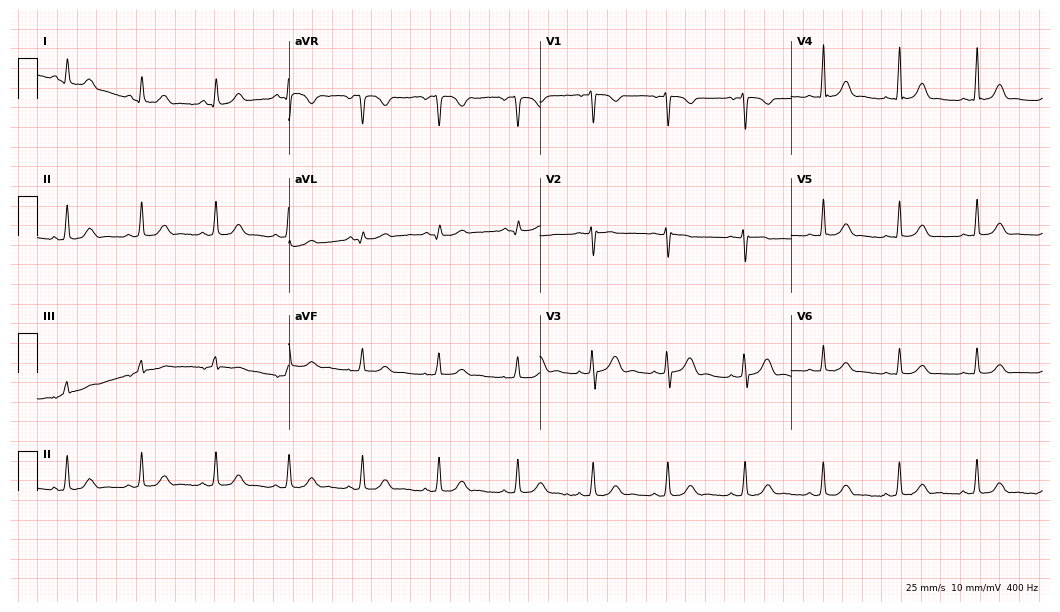
12-lead ECG (10.2-second recording at 400 Hz) from a woman, 23 years old. Screened for six findings — first-degree AV block, right bundle branch block, left bundle branch block, sinus bradycardia, atrial fibrillation, sinus tachycardia — none is recorded. Findings outside these six are not listed.